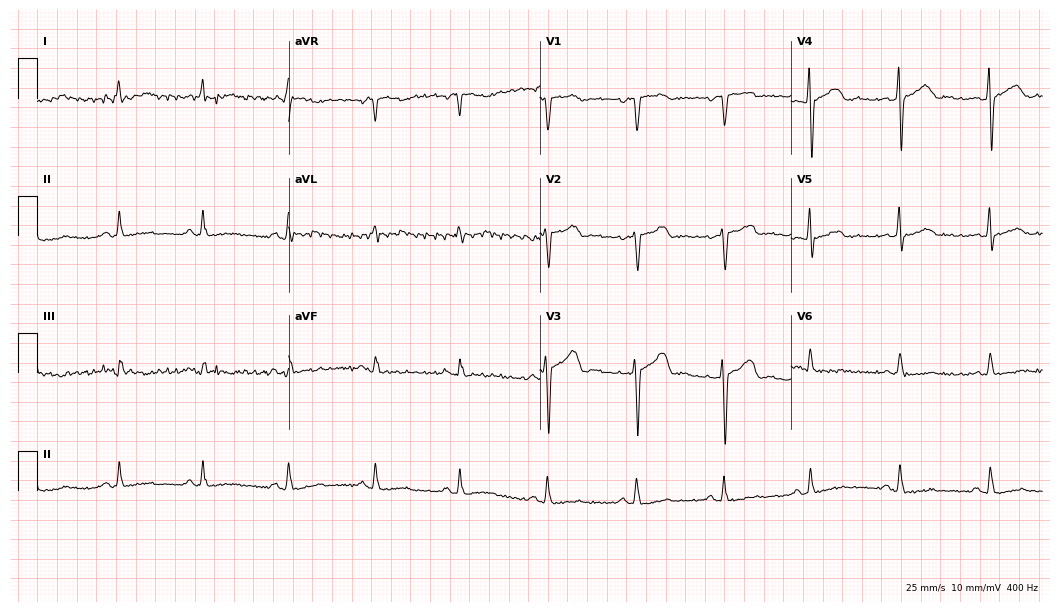
Electrocardiogram, a 53-year-old woman. Overall reading on record: normal ECG.